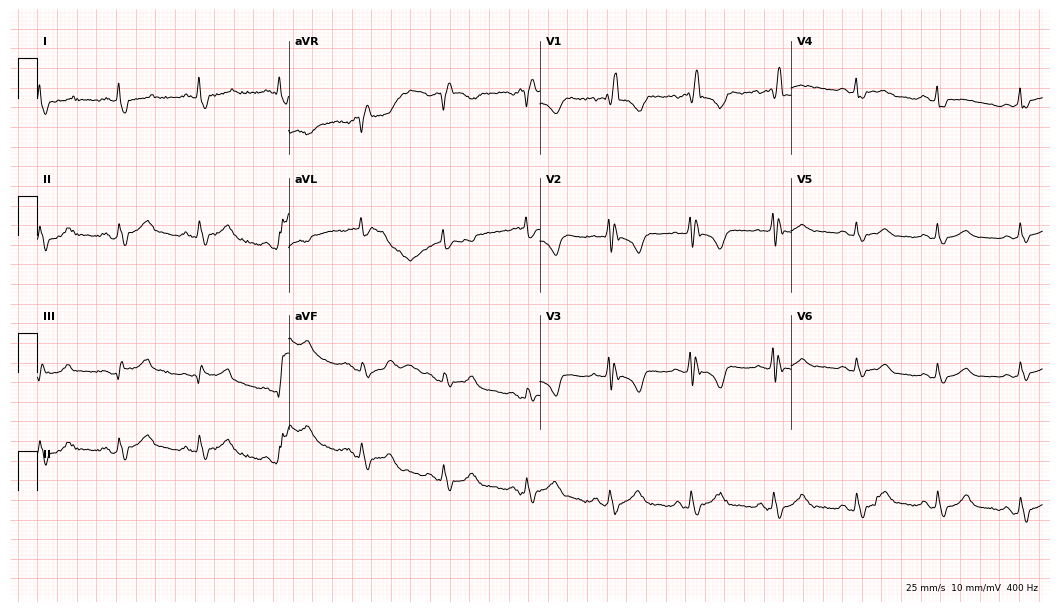
12-lead ECG from a female, 75 years old. No first-degree AV block, right bundle branch block (RBBB), left bundle branch block (LBBB), sinus bradycardia, atrial fibrillation (AF) or sinus tachycardia recorded for this tracing.